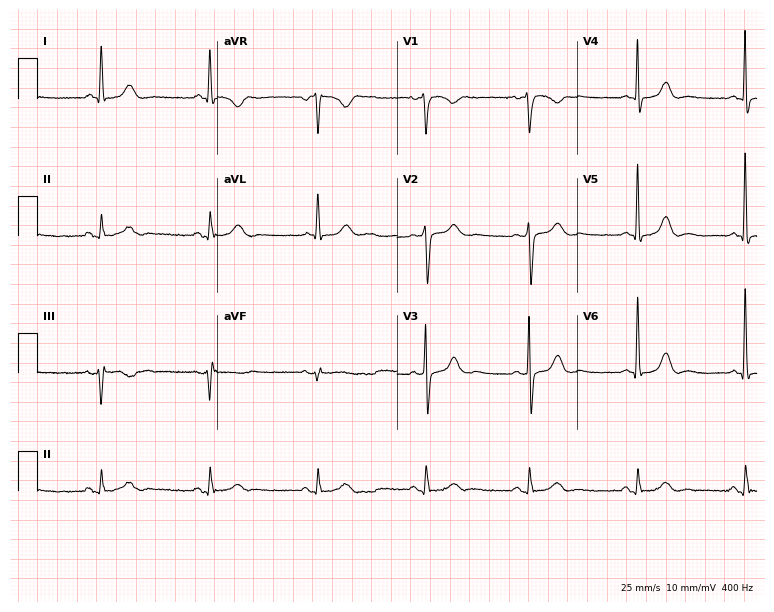
12-lead ECG from a female patient, 60 years old. Screened for six findings — first-degree AV block, right bundle branch block, left bundle branch block, sinus bradycardia, atrial fibrillation, sinus tachycardia — none is recorded. Only these six findings were labelled.